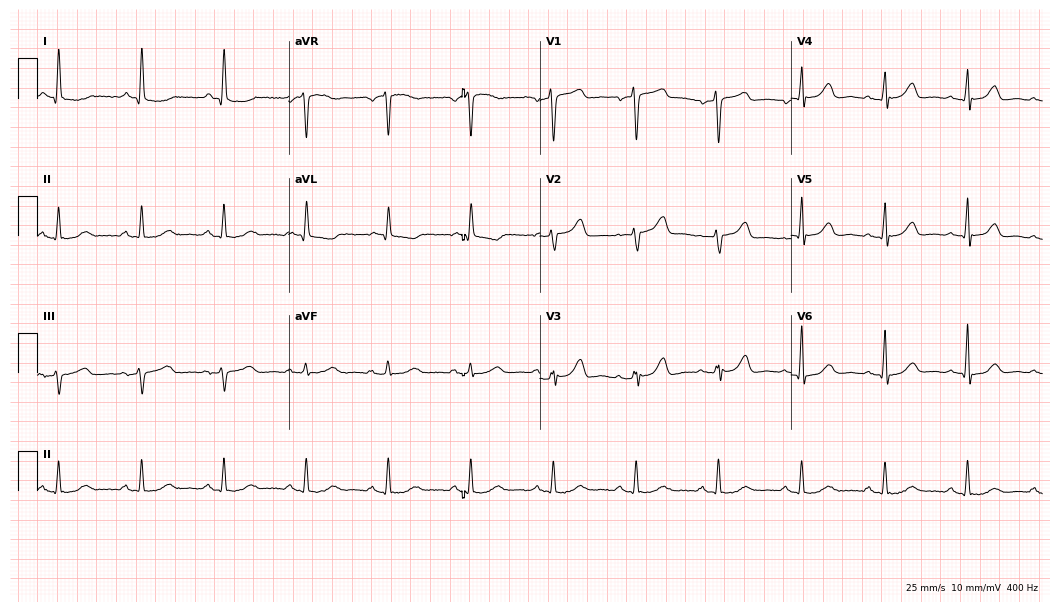
Electrocardiogram, a woman, 71 years old. Of the six screened findings (first-degree AV block, right bundle branch block (RBBB), left bundle branch block (LBBB), sinus bradycardia, atrial fibrillation (AF), sinus tachycardia), none is recorded. Only these six findings were labelled.